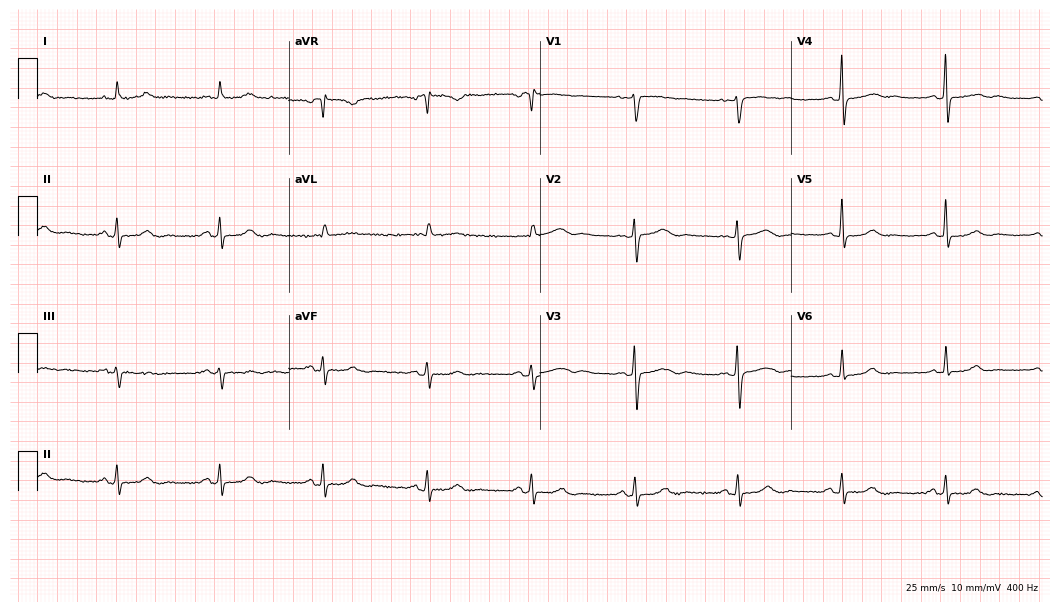
12-lead ECG from a 61-year-old woman (10.2-second recording at 400 Hz). Recorded interpretation: within normal limits.